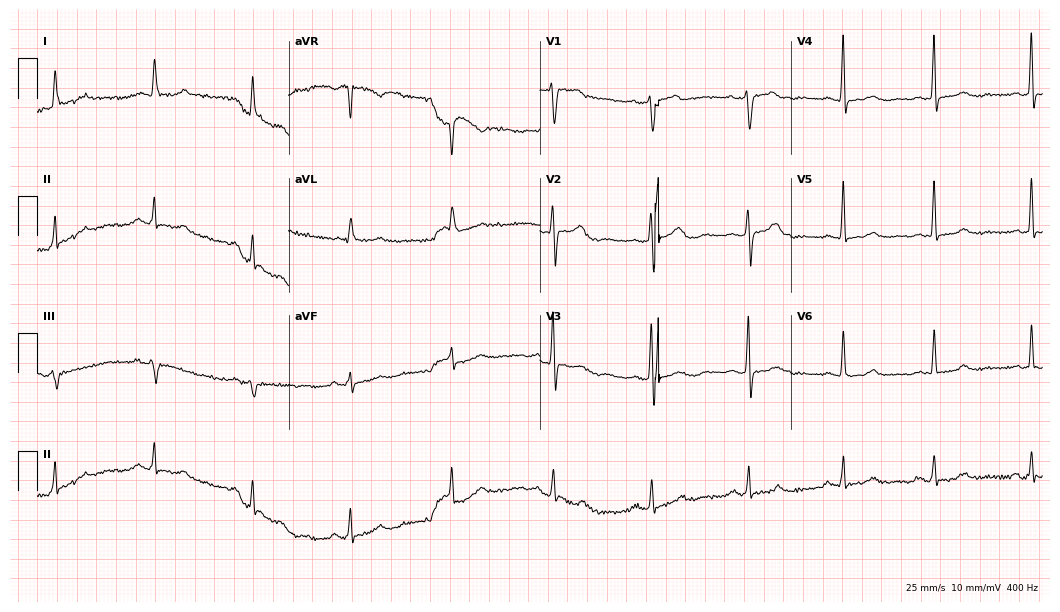
ECG — a 54-year-old female patient. Screened for six findings — first-degree AV block, right bundle branch block, left bundle branch block, sinus bradycardia, atrial fibrillation, sinus tachycardia — none is recorded.